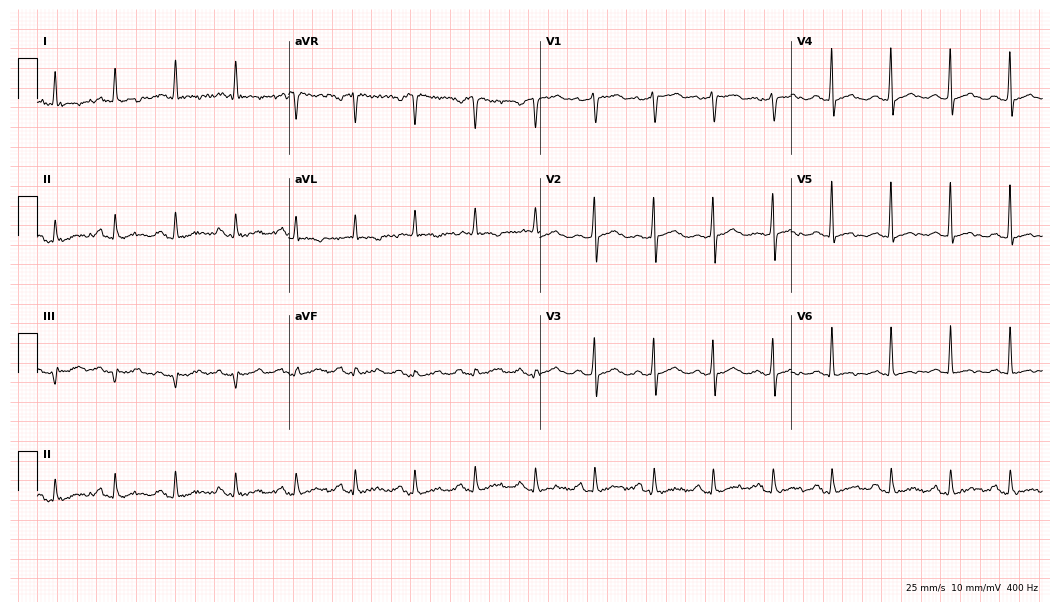
ECG (10.2-second recording at 400 Hz) — a woman, 65 years old. Labelled as a normal ECG.